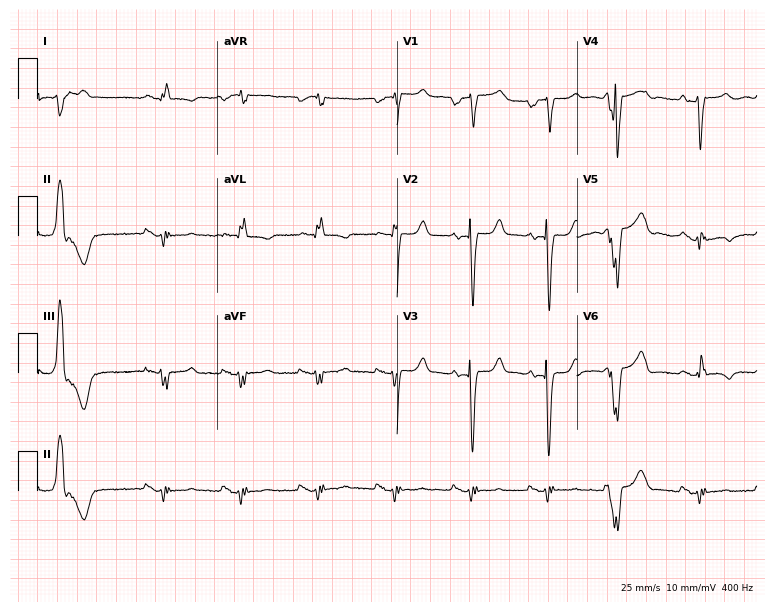
Standard 12-lead ECG recorded from a 60-year-old man. None of these six findings is recorded: first-degree AV block, right bundle branch block, left bundle branch block, sinus bradycardia, atrial fibrillation, sinus tachycardia. Findings outside these six are not listed.